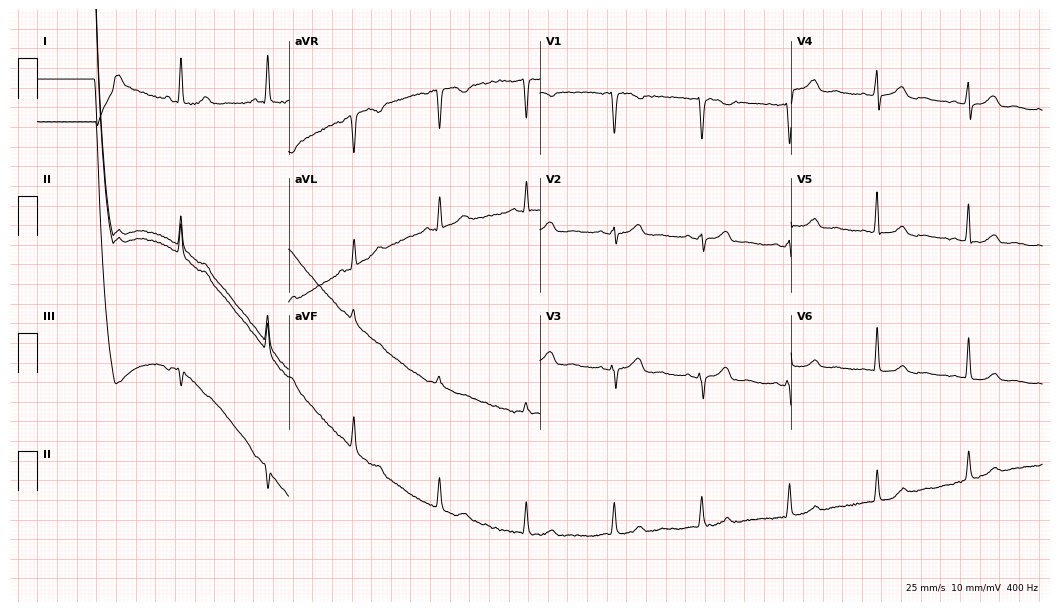
Resting 12-lead electrocardiogram. Patient: a 56-year-old female. None of these six findings is recorded: first-degree AV block, right bundle branch block, left bundle branch block, sinus bradycardia, atrial fibrillation, sinus tachycardia.